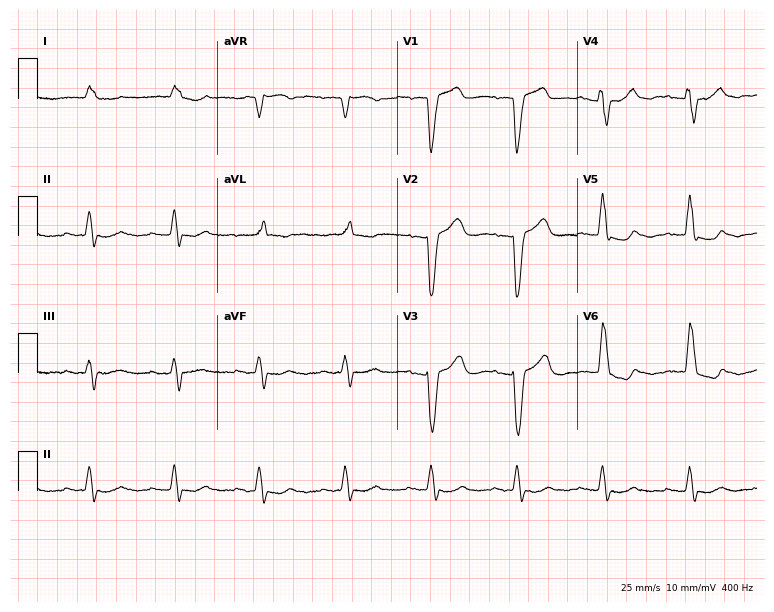
12-lead ECG (7.3-second recording at 400 Hz) from an 82-year-old male patient. Findings include first-degree AV block, left bundle branch block.